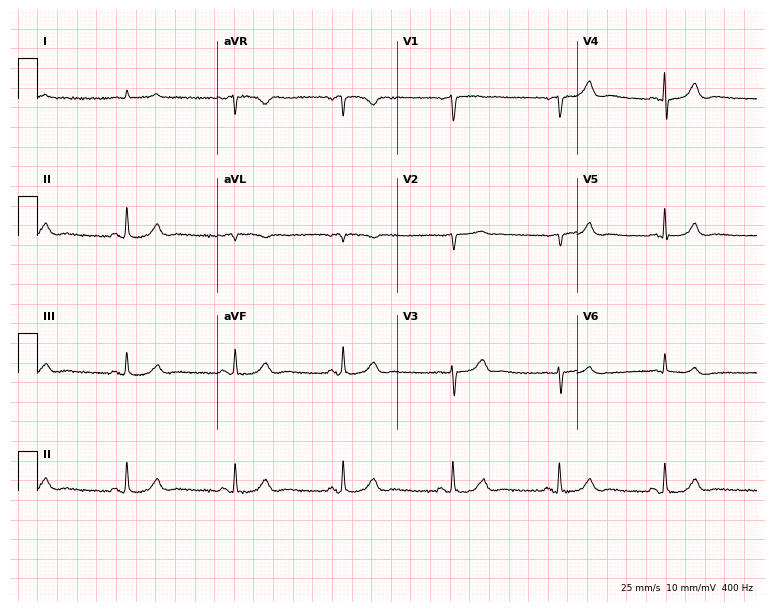
Standard 12-lead ECG recorded from a 77-year-old male patient (7.3-second recording at 400 Hz). Read as a normal ECG.